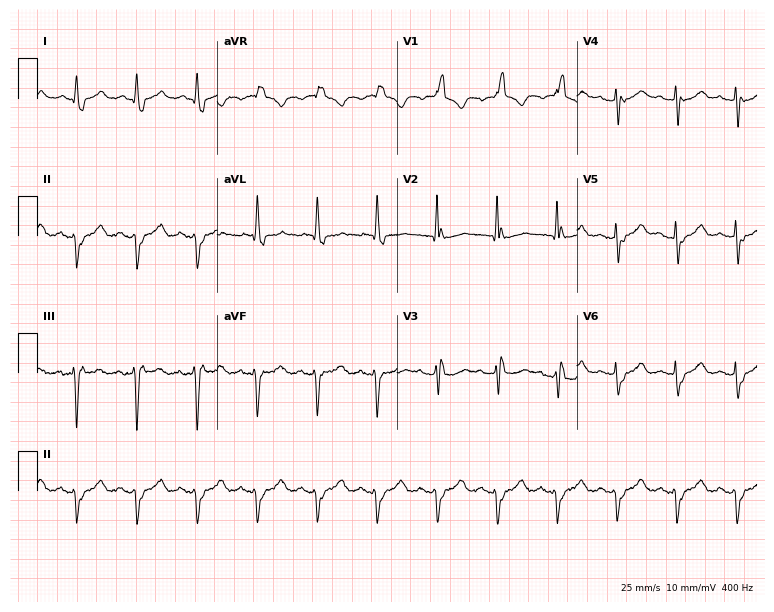
Resting 12-lead electrocardiogram (7.3-second recording at 400 Hz). Patient: a 71-year-old man. The tracing shows right bundle branch block.